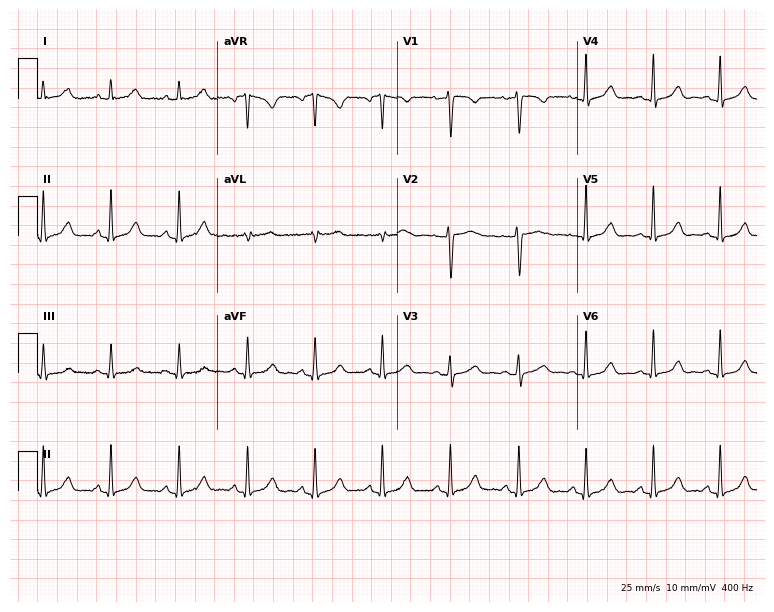
12-lead ECG from a woman, 29 years old. Labelled as a normal ECG.